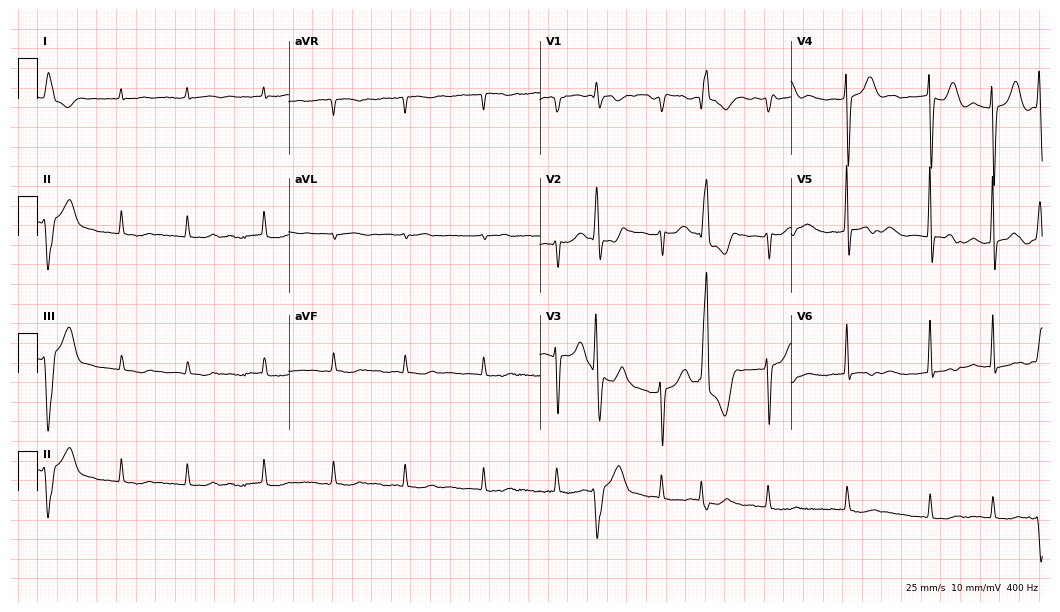
Standard 12-lead ECG recorded from a 79-year-old woman (10.2-second recording at 400 Hz). The tracing shows atrial fibrillation (AF).